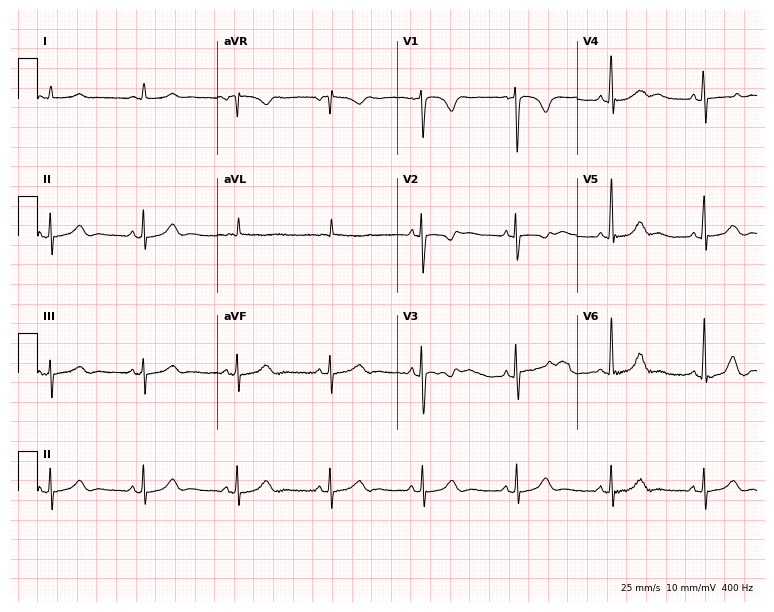
12-lead ECG from a 75-year-old man (7.3-second recording at 400 Hz). No first-degree AV block, right bundle branch block, left bundle branch block, sinus bradycardia, atrial fibrillation or sinus tachycardia recorded for this tracing.